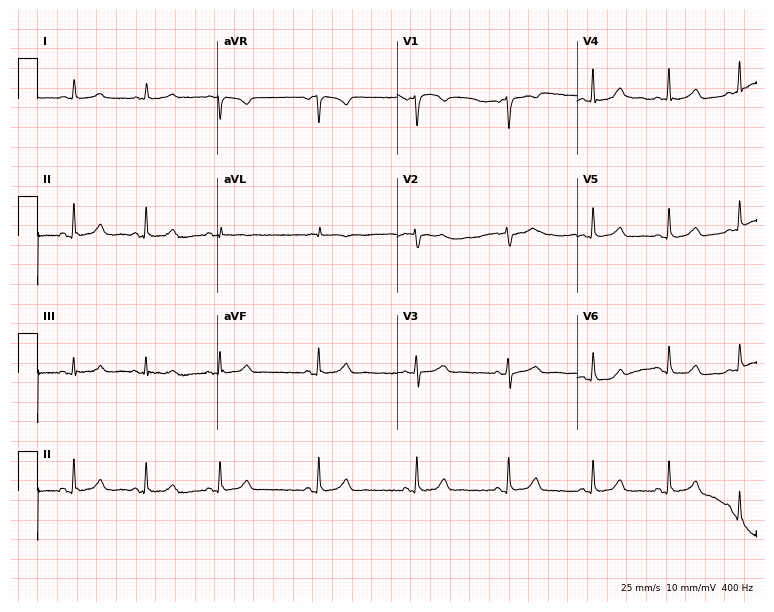
Standard 12-lead ECG recorded from a woman, 50 years old. Read as a normal ECG.